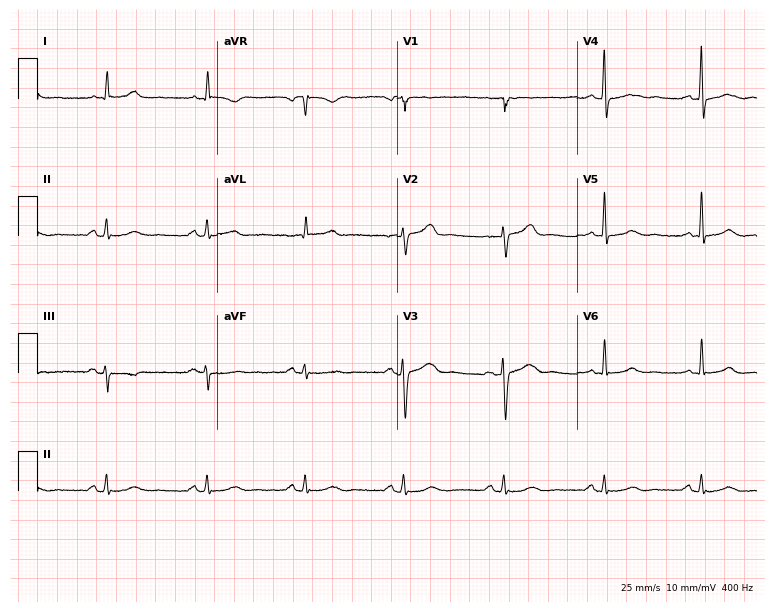
12-lead ECG (7.3-second recording at 400 Hz) from a 54-year-old woman. Labelled as a normal ECG.